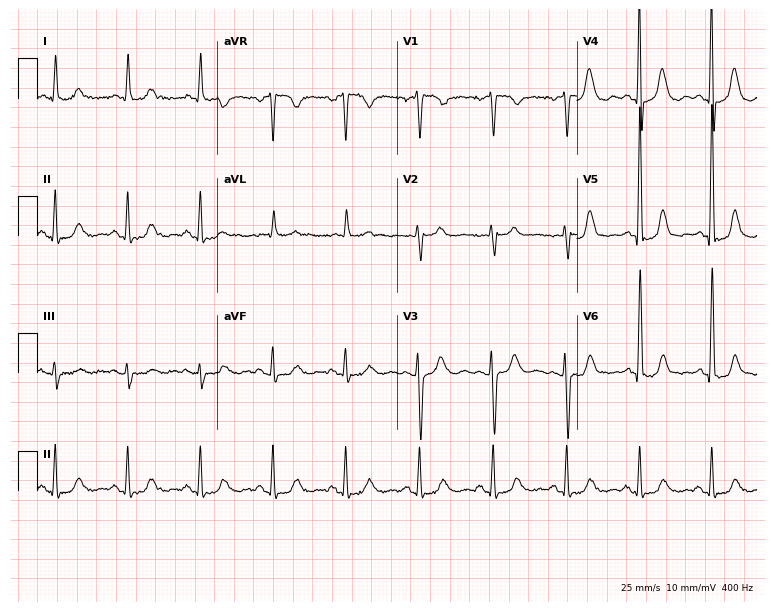
Standard 12-lead ECG recorded from a 76-year-old female patient (7.3-second recording at 400 Hz). None of these six findings is recorded: first-degree AV block, right bundle branch block, left bundle branch block, sinus bradycardia, atrial fibrillation, sinus tachycardia.